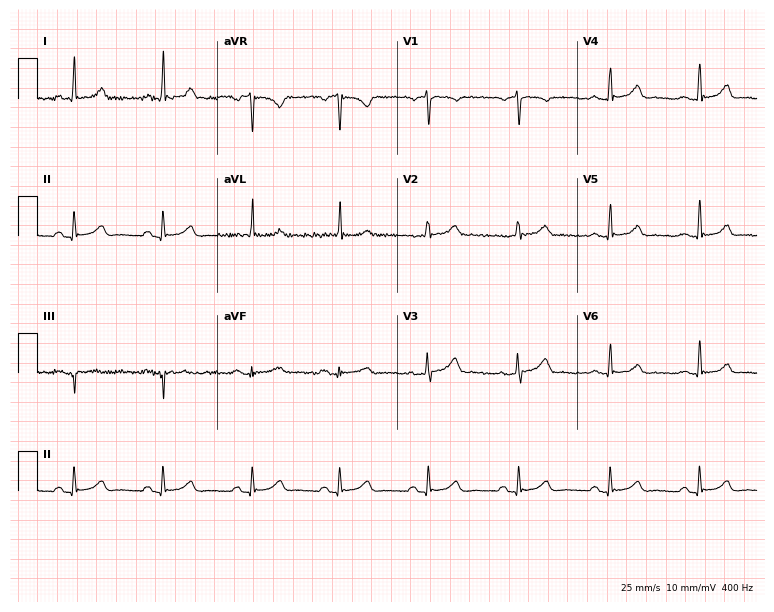
Electrocardiogram (7.3-second recording at 400 Hz), a 36-year-old female patient. Overall reading on record: normal ECG.